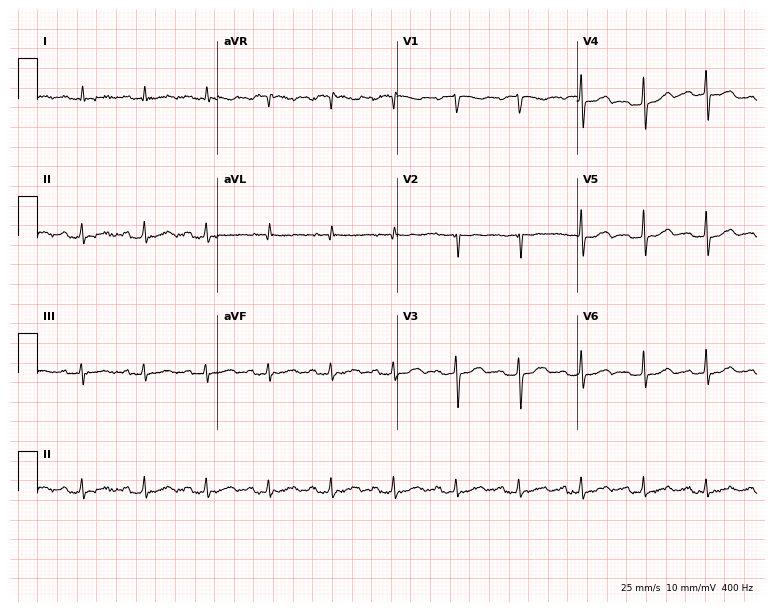
Standard 12-lead ECG recorded from a male, 77 years old (7.3-second recording at 400 Hz). None of these six findings is recorded: first-degree AV block, right bundle branch block, left bundle branch block, sinus bradycardia, atrial fibrillation, sinus tachycardia.